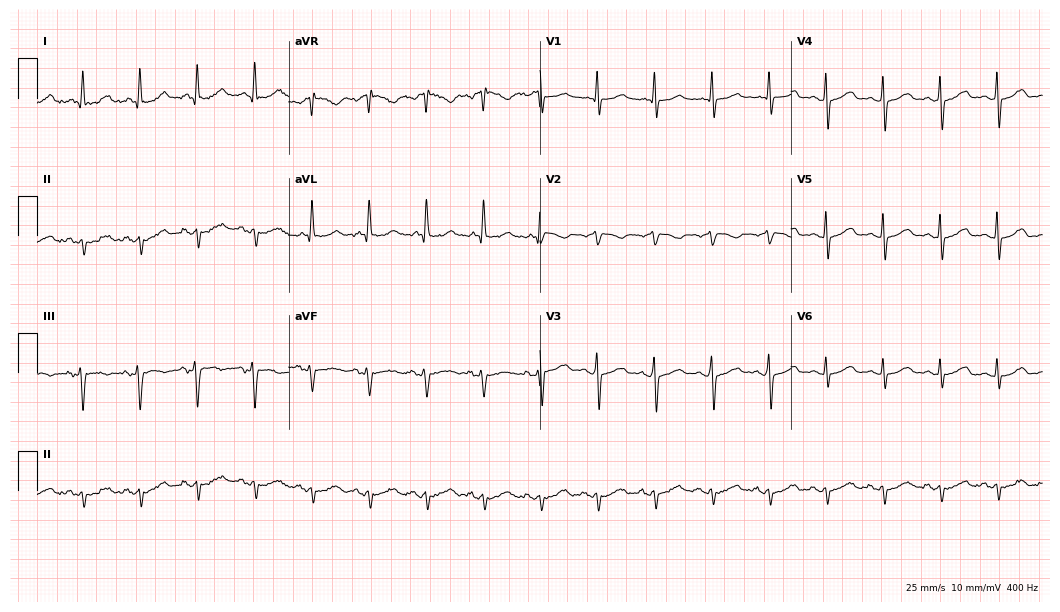
ECG — a woman, 72 years old. Screened for six findings — first-degree AV block, right bundle branch block, left bundle branch block, sinus bradycardia, atrial fibrillation, sinus tachycardia — none is recorded. Findings outside these six are not listed.